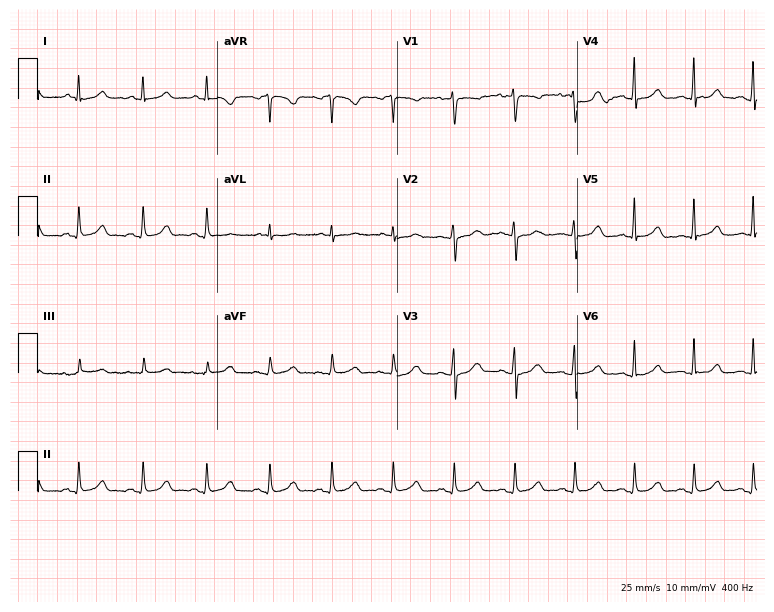
Standard 12-lead ECG recorded from a 40-year-old woman (7.3-second recording at 400 Hz). None of these six findings is recorded: first-degree AV block, right bundle branch block, left bundle branch block, sinus bradycardia, atrial fibrillation, sinus tachycardia.